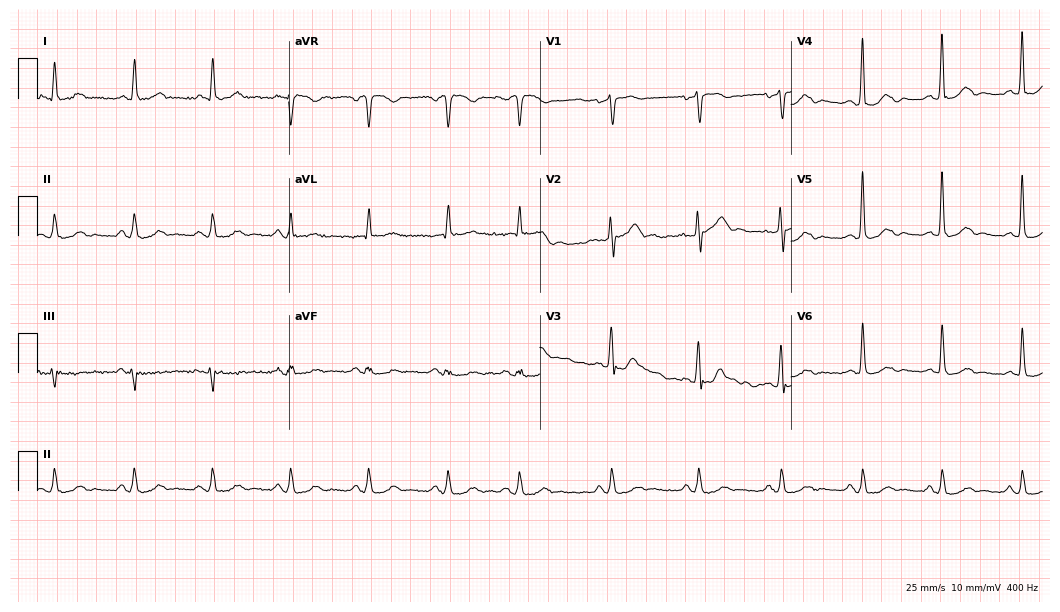
Standard 12-lead ECG recorded from a 78-year-old man (10.2-second recording at 400 Hz). Read as a normal ECG.